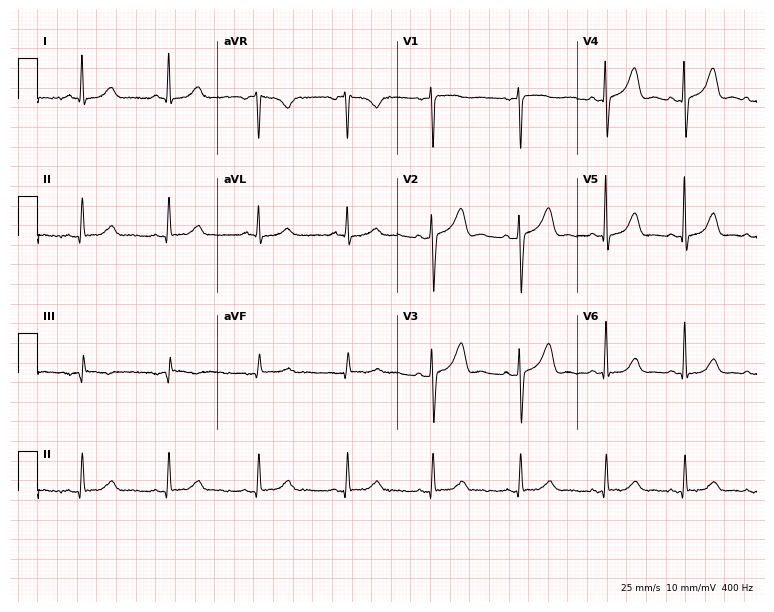
Resting 12-lead electrocardiogram (7.3-second recording at 400 Hz). Patient: a female, 80 years old. None of these six findings is recorded: first-degree AV block, right bundle branch block, left bundle branch block, sinus bradycardia, atrial fibrillation, sinus tachycardia.